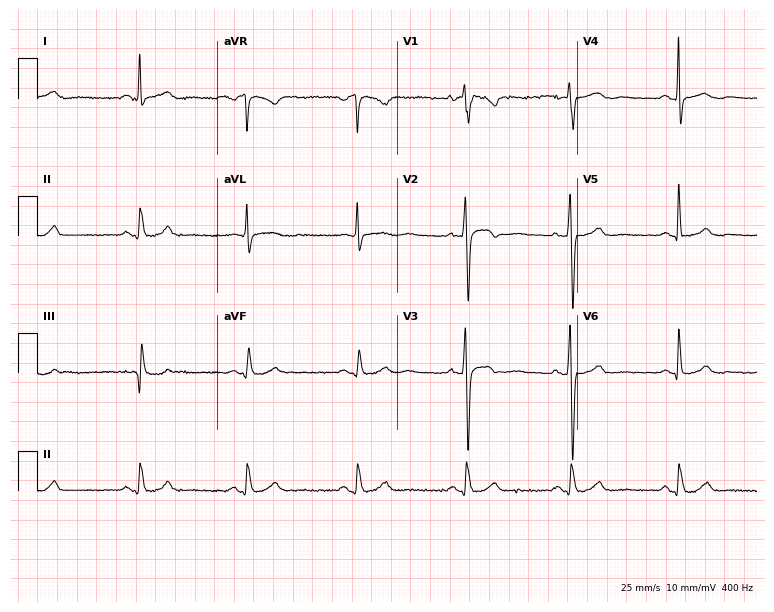
12-lead ECG (7.3-second recording at 400 Hz) from a 54-year-old female patient. Labelled as a normal ECG.